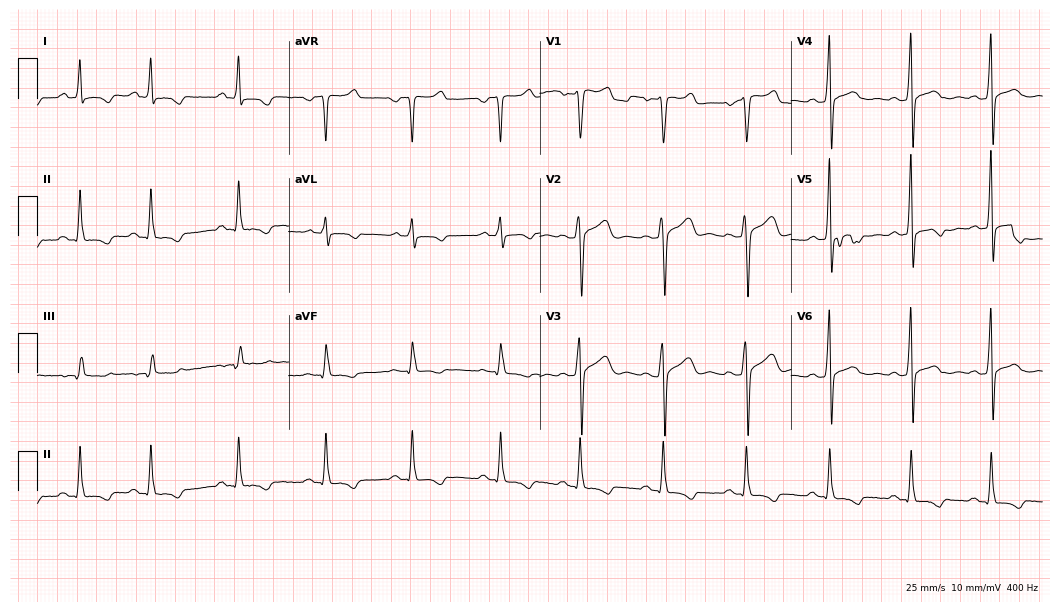
Electrocardiogram (10.2-second recording at 400 Hz), a male, 35 years old. Of the six screened findings (first-degree AV block, right bundle branch block (RBBB), left bundle branch block (LBBB), sinus bradycardia, atrial fibrillation (AF), sinus tachycardia), none is recorded. Only these six findings were labelled.